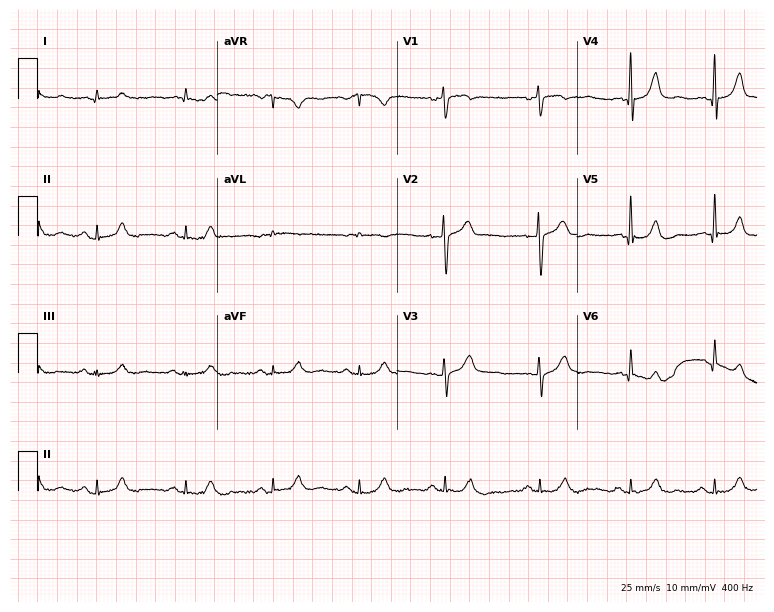
Electrocardiogram (7.3-second recording at 400 Hz), a man, 69 years old. Of the six screened findings (first-degree AV block, right bundle branch block, left bundle branch block, sinus bradycardia, atrial fibrillation, sinus tachycardia), none is recorded.